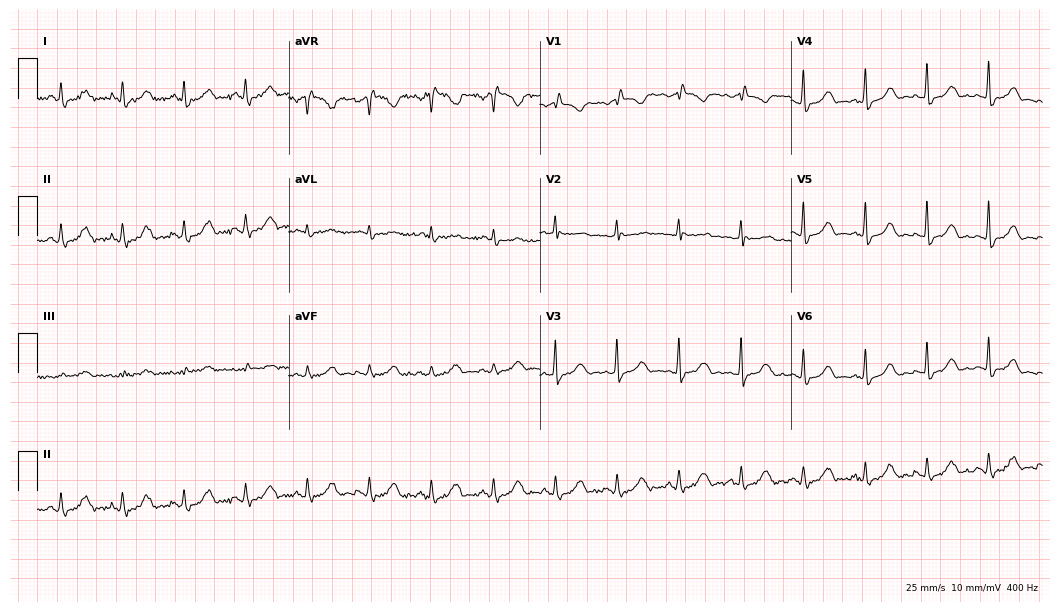
Standard 12-lead ECG recorded from a 63-year-old female (10.2-second recording at 400 Hz). None of these six findings is recorded: first-degree AV block, right bundle branch block (RBBB), left bundle branch block (LBBB), sinus bradycardia, atrial fibrillation (AF), sinus tachycardia.